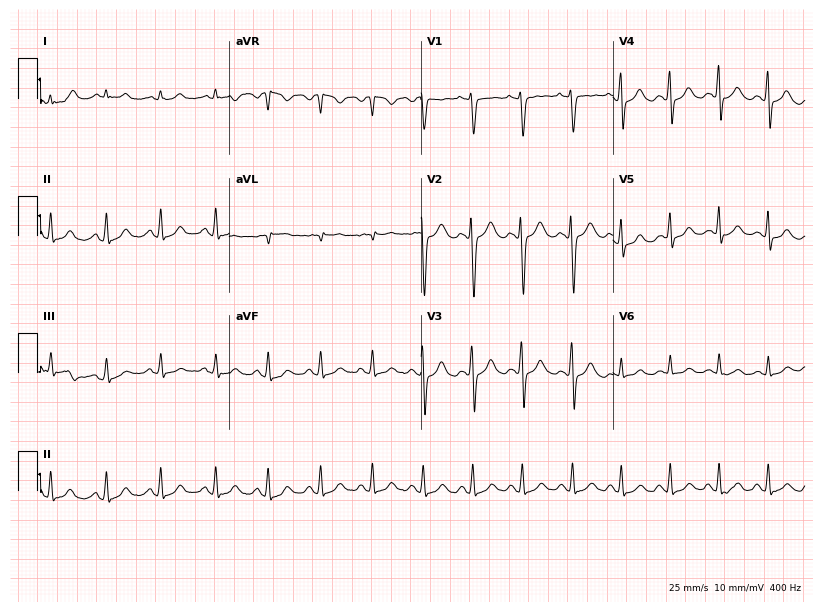
ECG (7.8-second recording at 400 Hz) — a 20-year-old female patient. Findings include sinus tachycardia (a sinus rate of 100 beats per minute or more).